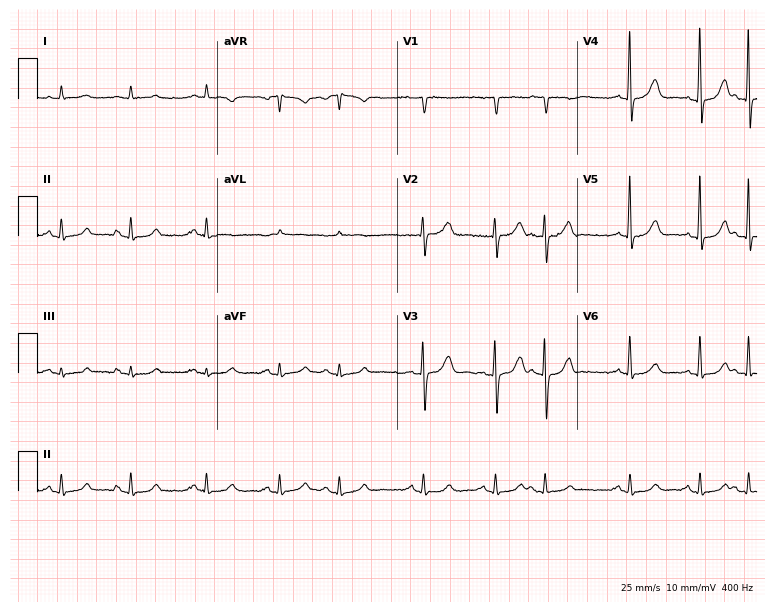
ECG (7.3-second recording at 400 Hz) — a 75-year-old male patient. Screened for six findings — first-degree AV block, right bundle branch block, left bundle branch block, sinus bradycardia, atrial fibrillation, sinus tachycardia — none is recorded. Only these six findings were labelled.